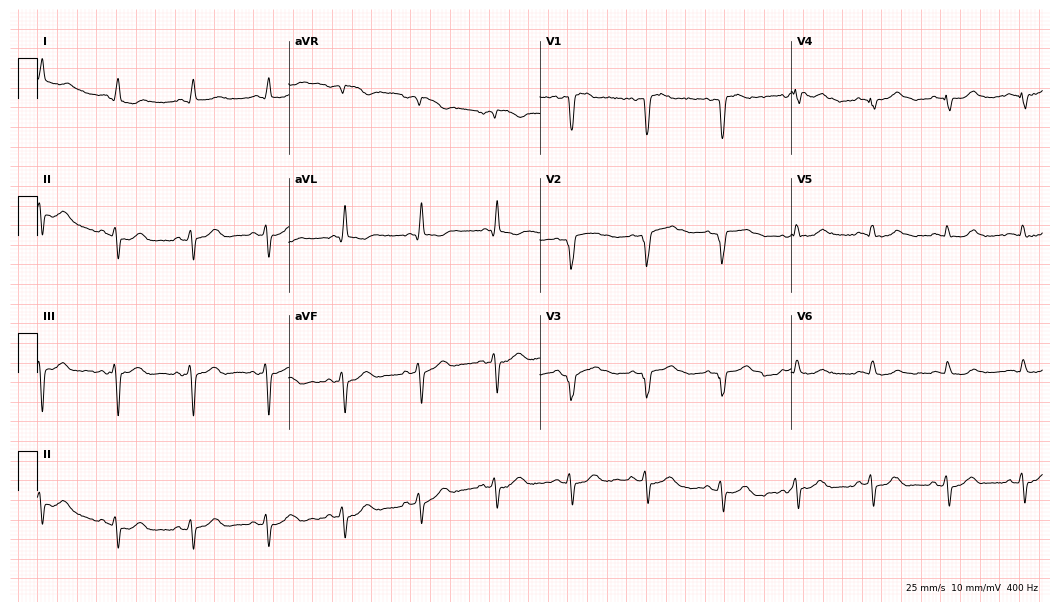
Standard 12-lead ECG recorded from a 76-year-old male patient. None of these six findings is recorded: first-degree AV block, right bundle branch block (RBBB), left bundle branch block (LBBB), sinus bradycardia, atrial fibrillation (AF), sinus tachycardia. Findings outside these six are not listed.